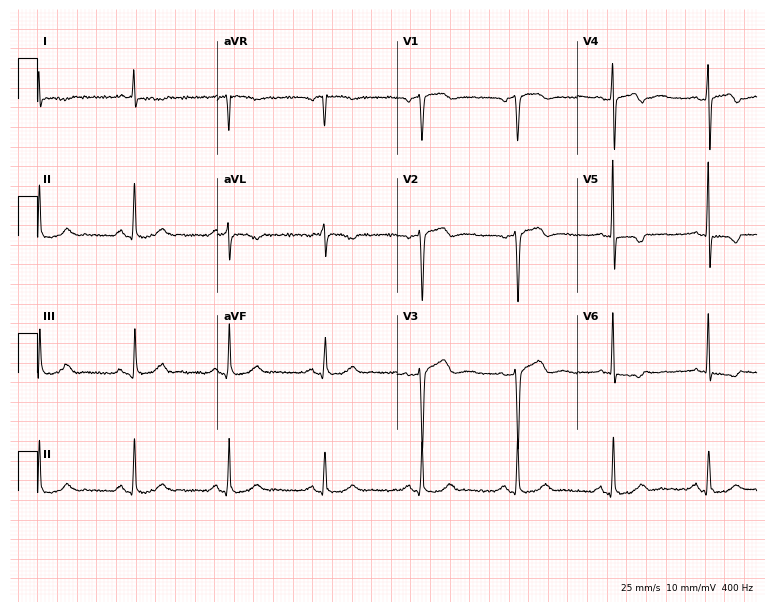
ECG (7.3-second recording at 400 Hz) — a 78-year-old man. Screened for six findings — first-degree AV block, right bundle branch block, left bundle branch block, sinus bradycardia, atrial fibrillation, sinus tachycardia — none is recorded. Findings outside these six are not listed.